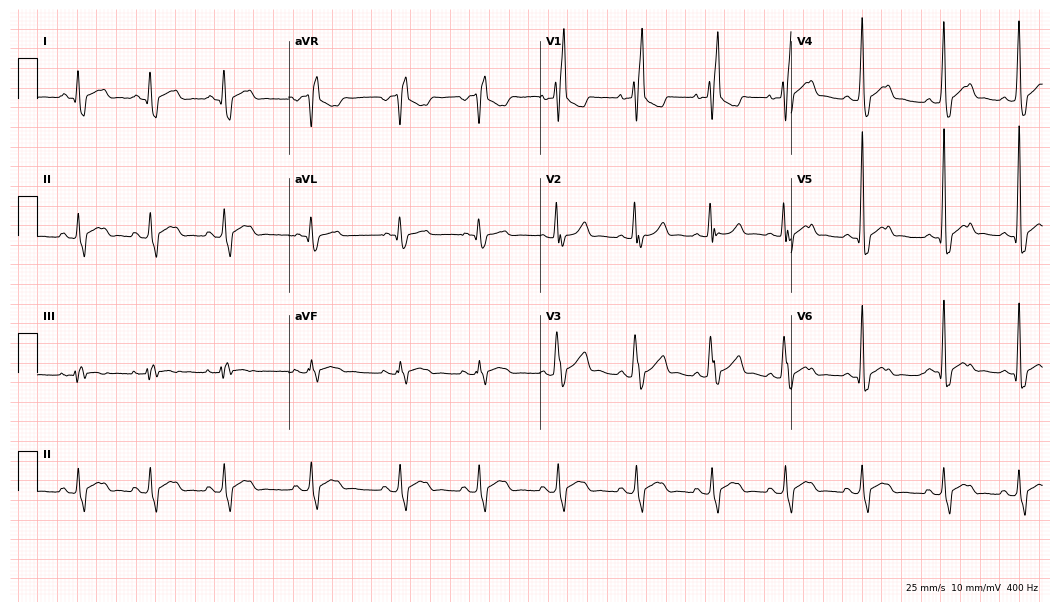
Electrocardiogram, a male patient, 17 years old. Interpretation includes right bundle branch block (RBBB).